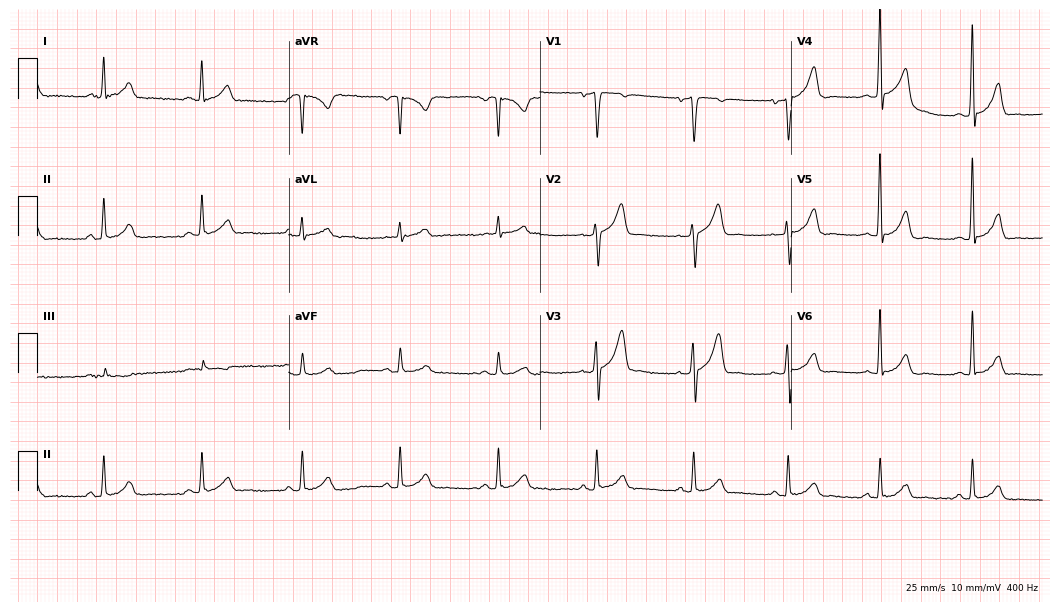
Standard 12-lead ECG recorded from a 56-year-old man (10.2-second recording at 400 Hz). Read as a normal ECG.